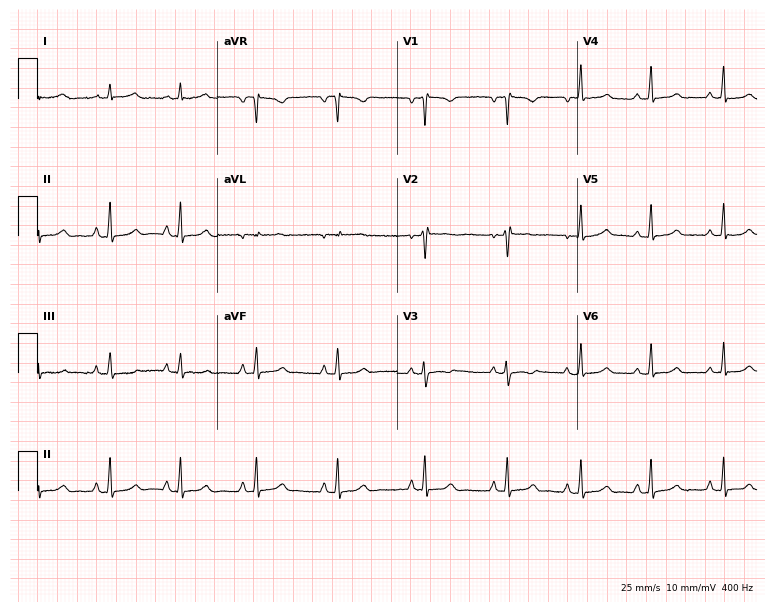
Standard 12-lead ECG recorded from a 26-year-old woman (7.3-second recording at 400 Hz). None of these six findings is recorded: first-degree AV block, right bundle branch block (RBBB), left bundle branch block (LBBB), sinus bradycardia, atrial fibrillation (AF), sinus tachycardia. Only these six findings were labelled.